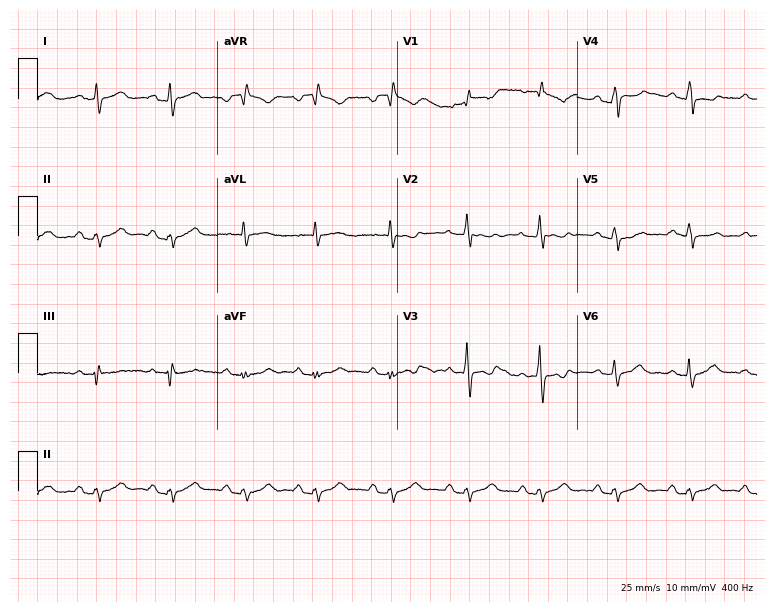
Standard 12-lead ECG recorded from a 37-year-old female patient (7.3-second recording at 400 Hz). None of these six findings is recorded: first-degree AV block, right bundle branch block, left bundle branch block, sinus bradycardia, atrial fibrillation, sinus tachycardia. Only these six findings were labelled.